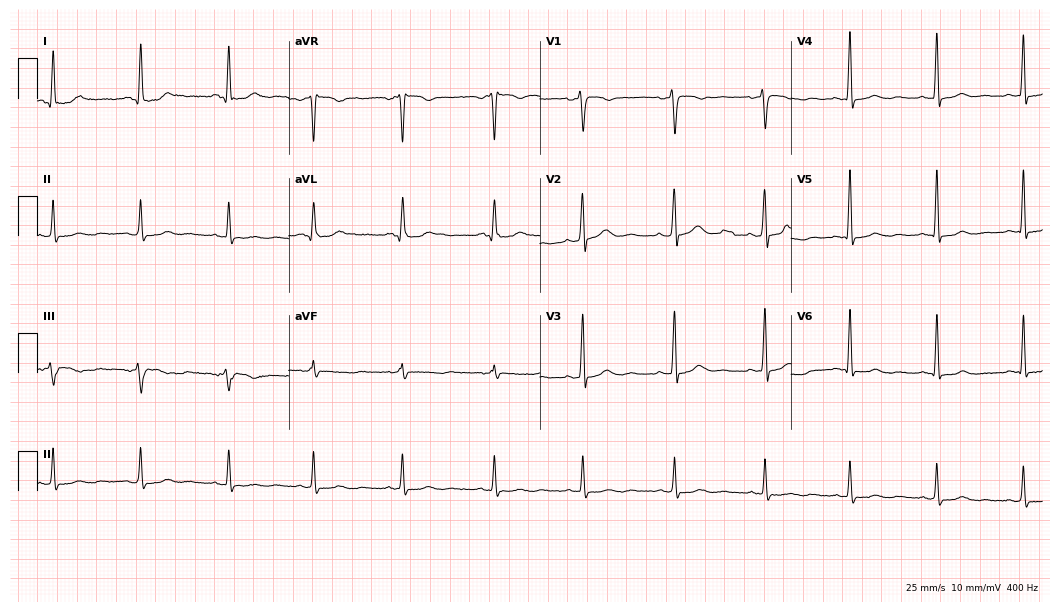
Standard 12-lead ECG recorded from a 38-year-old woman. None of these six findings is recorded: first-degree AV block, right bundle branch block, left bundle branch block, sinus bradycardia, atrial fibrillation, sinus tachycardia.